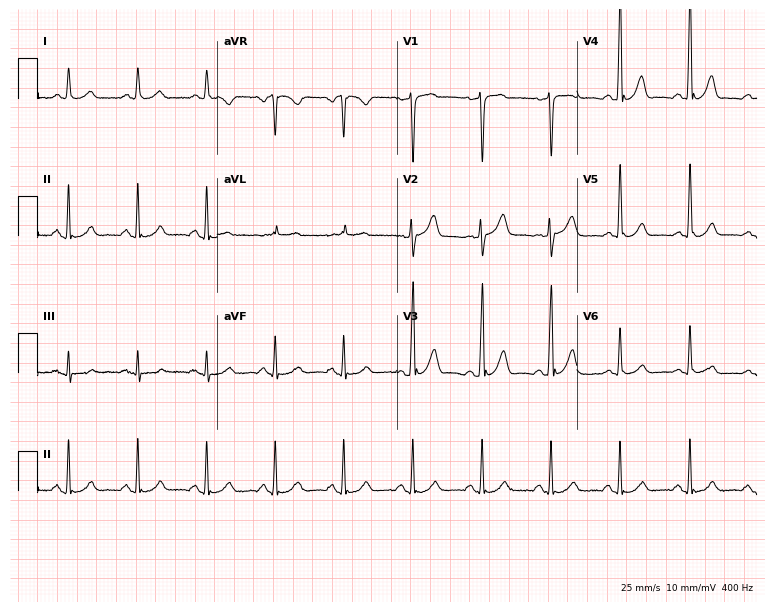
12-lead ECG from a man, 56 years old. Recorded interpretation: within normal limits.